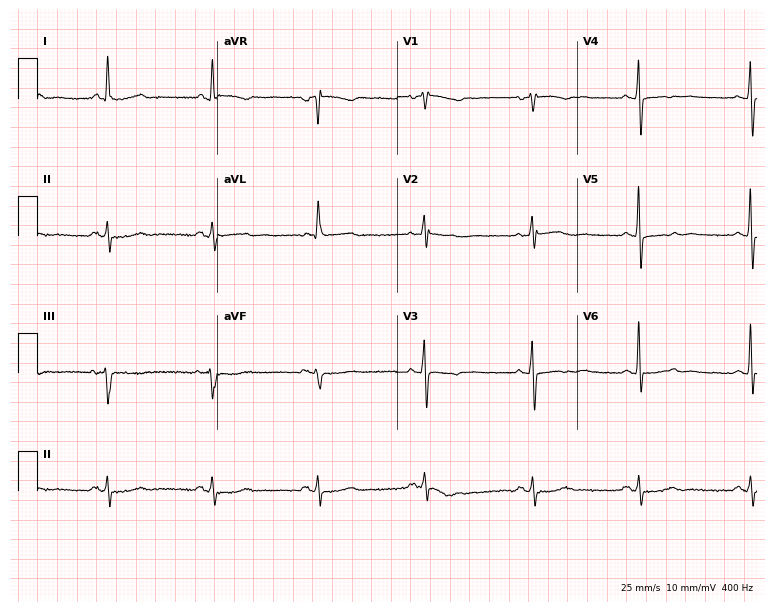
12-lead ECG from a female, 63 years old (7.3-second recording at 400 Hz). No first-degree AV block, right bundle branch block, left bundle branch block, sinus bradycardia, atrial fibrillation or sinus tachycardia recorded for this tracing.